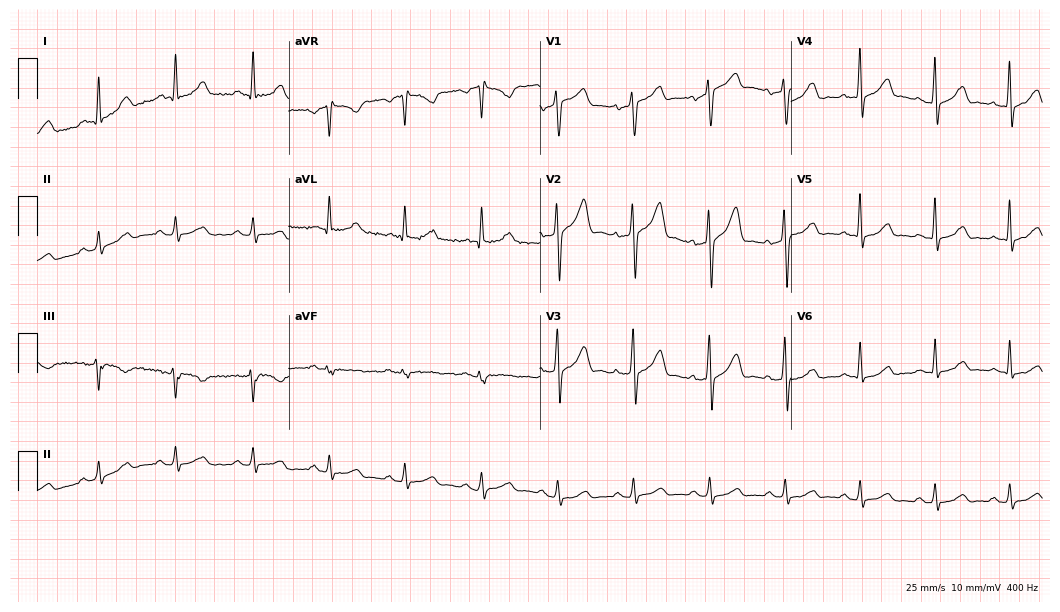
12-lead ECG (10.2-second recording at 400 Hz) from a 51-year-old man. Screened for six findings — first-degree AV block, right bundle branch block, left bundle branch block, sinus bradycardia, atrial fibrillation, sinus tachycardia — none is recorded.